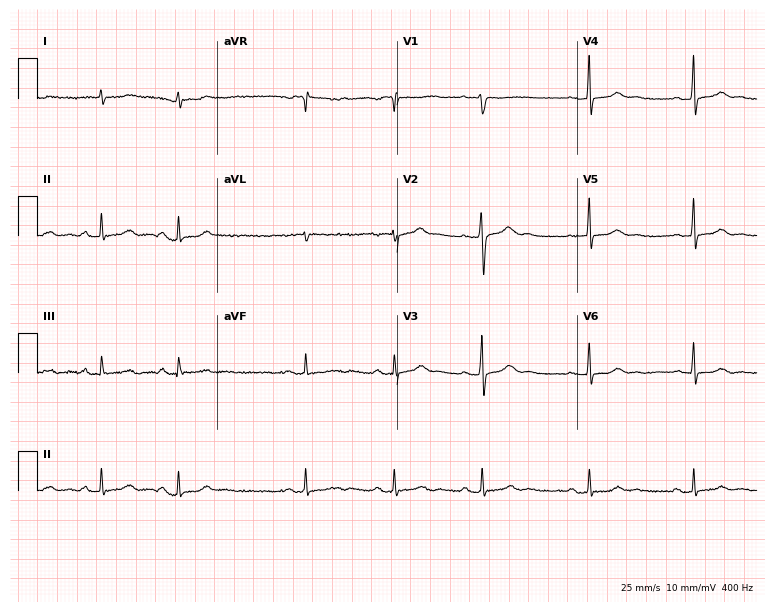
Electrocardiogram, a 24-year-old female. Overall reading on record: normal ECG.